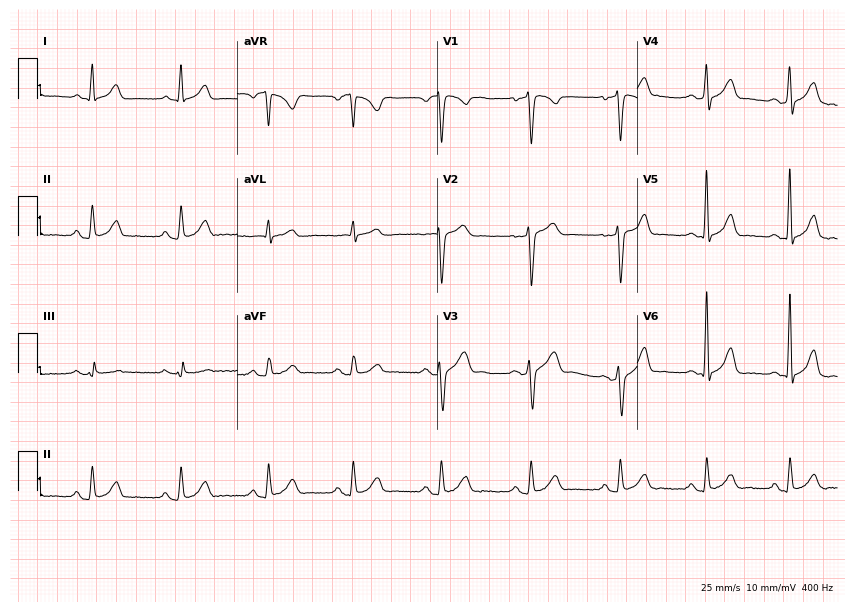
12-lead ECG from a 45-year-old female patient. Recorded interpretation: within normal limits.